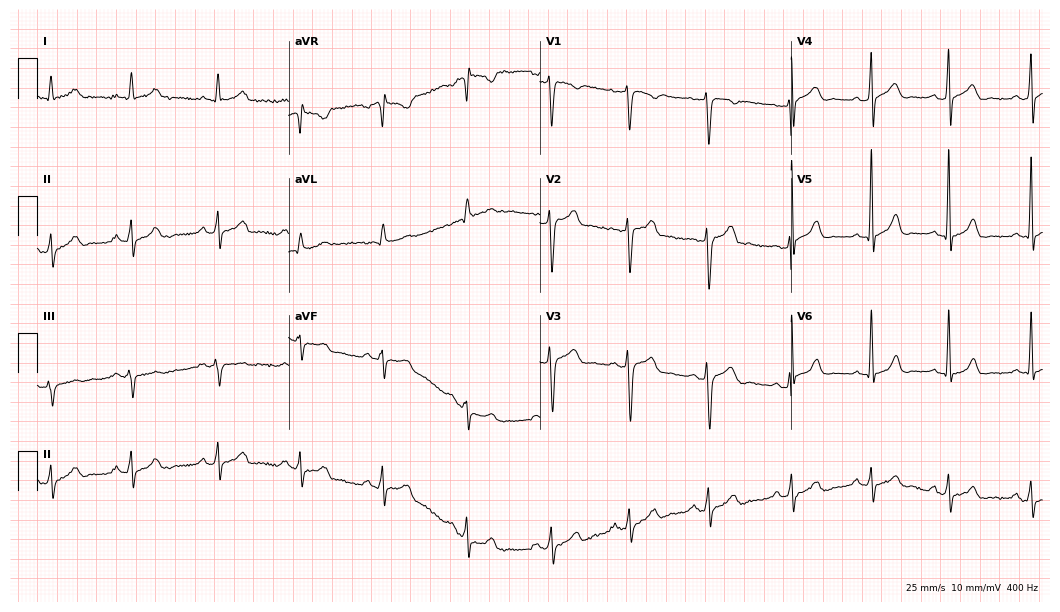
12-lead ECG from a 37-year-old man. Recorded interpretation: within normal limits.